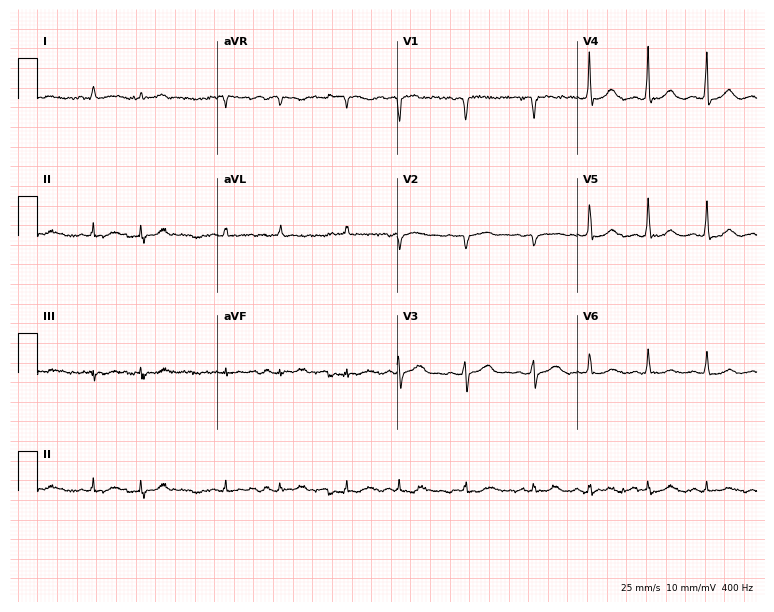
Standard 12-lead ECG recorded from a man, 80 years old (7.3-second recording at 400 Hz). None of these six findings is recorded: first-degree AV block, right bundle branch block (RBBB), left bundle branch block (LBBB), sinus bradycardia, atrial fibrillation (AF), sinus tachycardia.